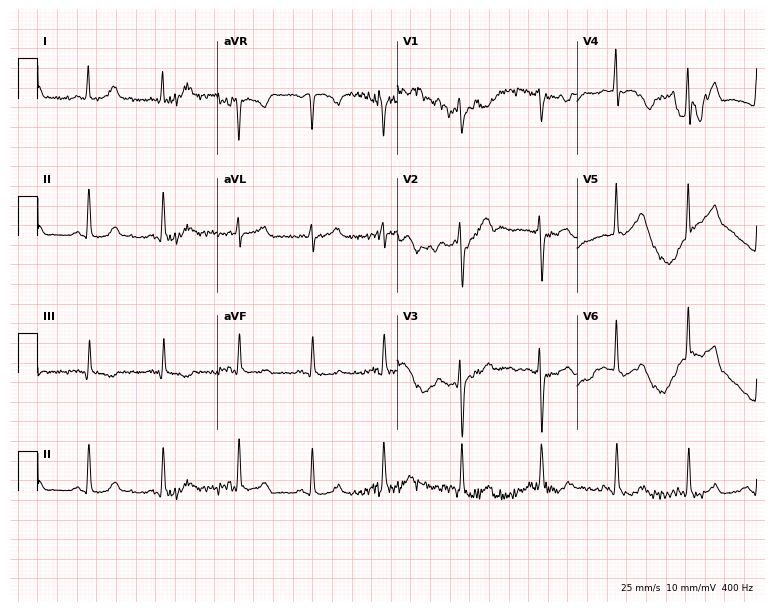
Standard 12-lead ECG recorded from a female patient, 28 years old. None of these six findings is recorded: first-degree AV block, right bundle branch block (RBBB), left bundle branch block (LBBB), sinus bradycardia, atrial fibrillation (AF), sinus tachycardia. Other findings, if any, are not listed.